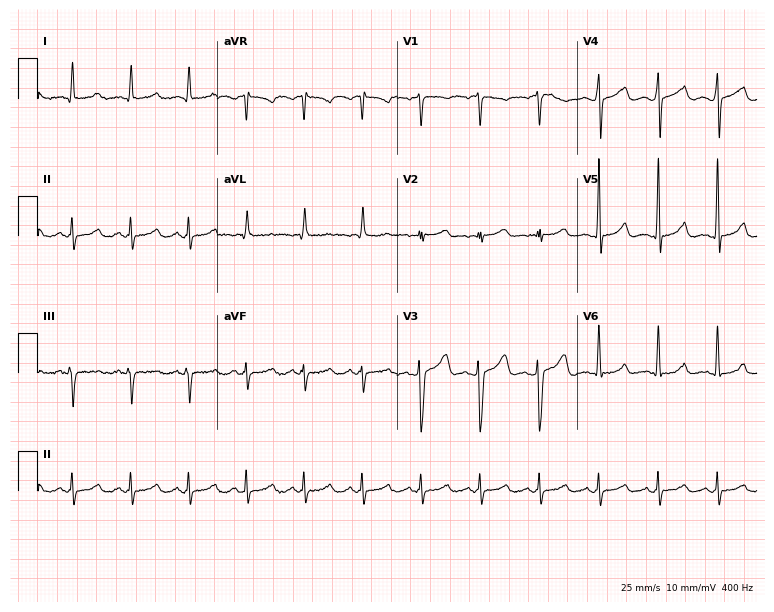
ECG — a 29-year-old male patient. Labelled as a normal ECG.